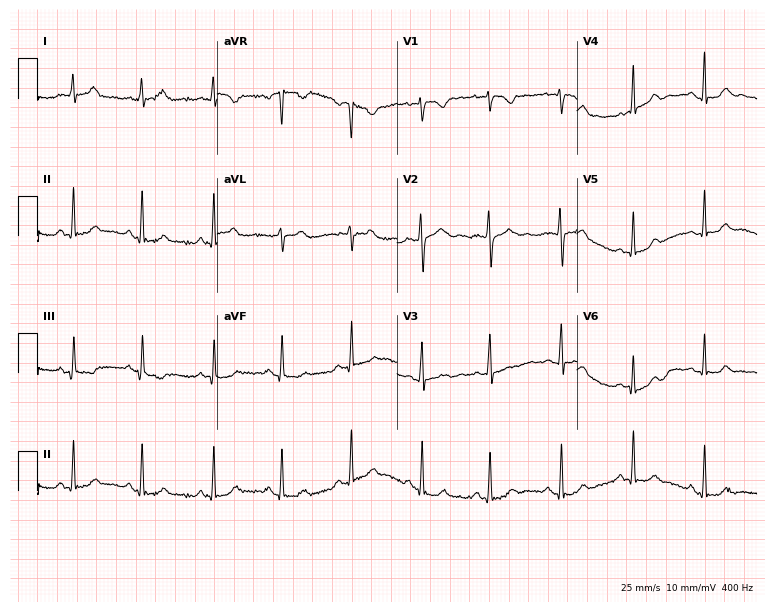
ECG (7.3-second recording at 400 Hz) — a 19-year-old female. Labelled as a normal ECG.